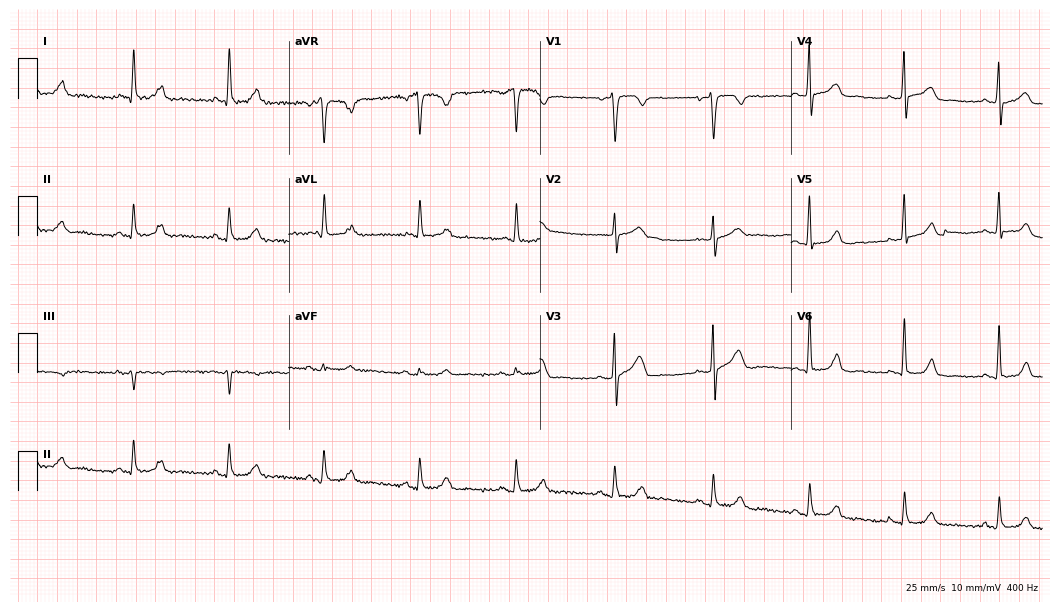
12-lead ECG from a 52-year-old man. Labelled as a normal ECG.